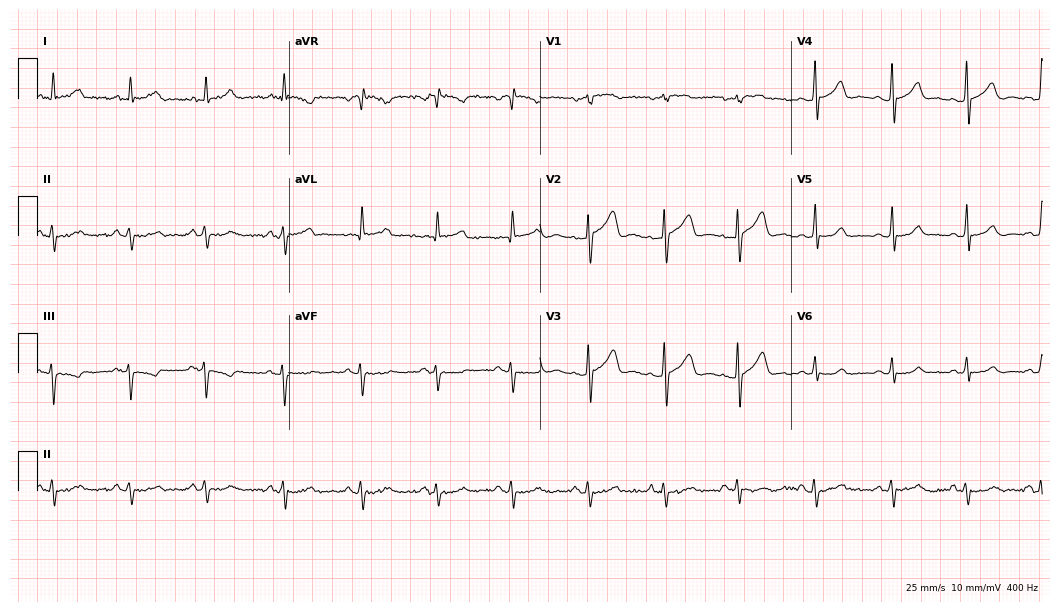
Resting 12-lead electrocardiogram (10.2-second recording at 400 Hz). Patient: a 55-year-old male. None of these six findings is recorded: first-degree AV block, right bundle branch block (RBBB), left bundle branch block (LBBB), sinus bradycardia, atrial fibrillation (AF), sinus tachycardia. Findings outside these six are not listed.